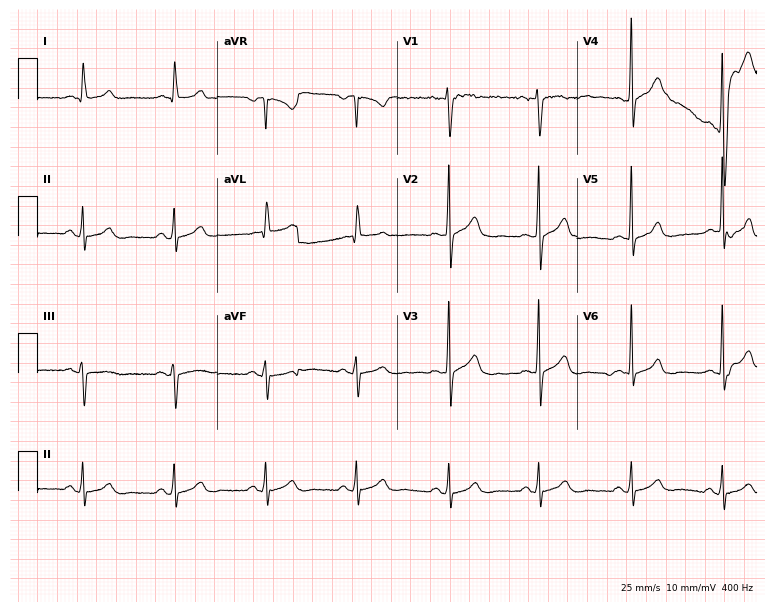
12-lead ECG from a male, 43 years old. Screened for six findings — first-degree AV block, right bundle branch block, left bundle branch block, sinus bradycardia, atrial fibrillation, sinus tachycardia — none is recorded. Only these six findings were labelled.